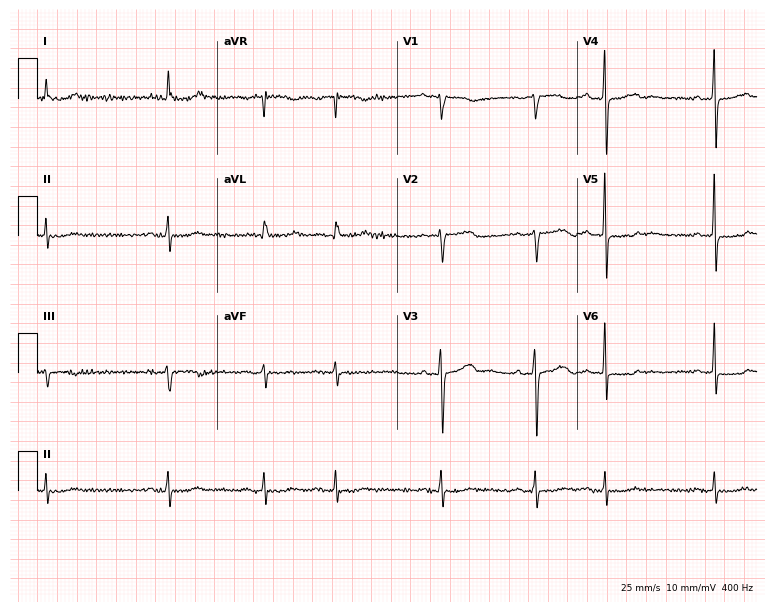
Resting 12-lead electrocardiogram. Patient: a female, 86 years old. None of these six findings is recorded: first-degree AV block, right bundle branch block, left bundle branch block, sinus bradycardia, atrial fibrillation, sinus tachycardia.